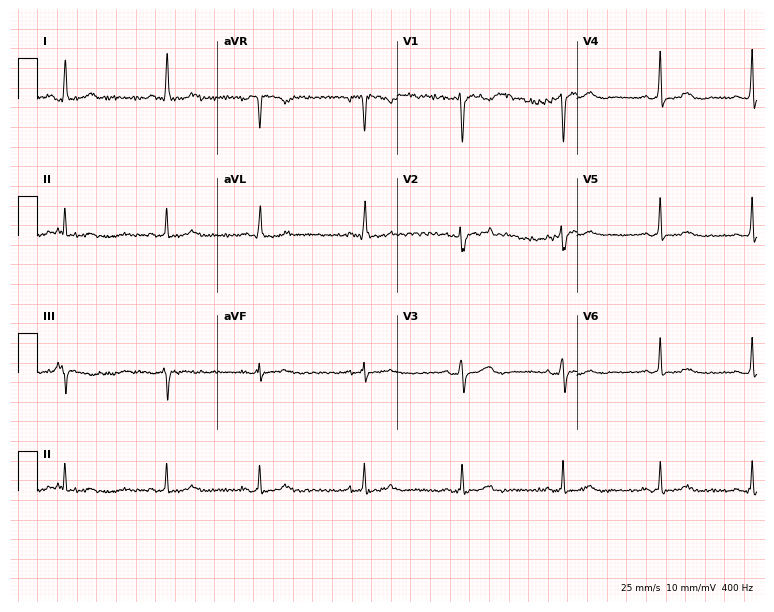
Standard 12-lead ECG recorded from a female, 40 years old. Read as a normal ECG.